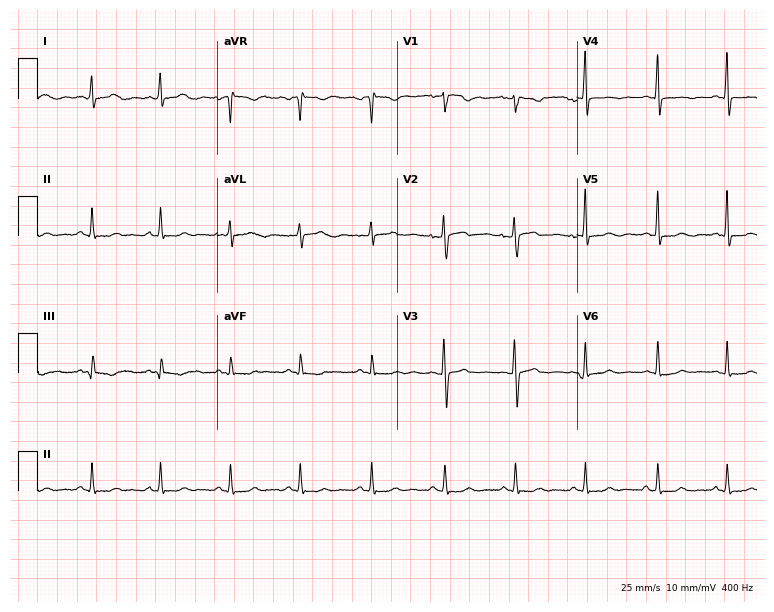
Electrocardiogram, a 40-year-old female. Of the six screened findings (first-degree AV block, right bundle branch block (RBBB), left bundle branch block (LBBB), sinus bradycardia, atrial fibrillation (AF), sinus tachycardia), none is recorded.